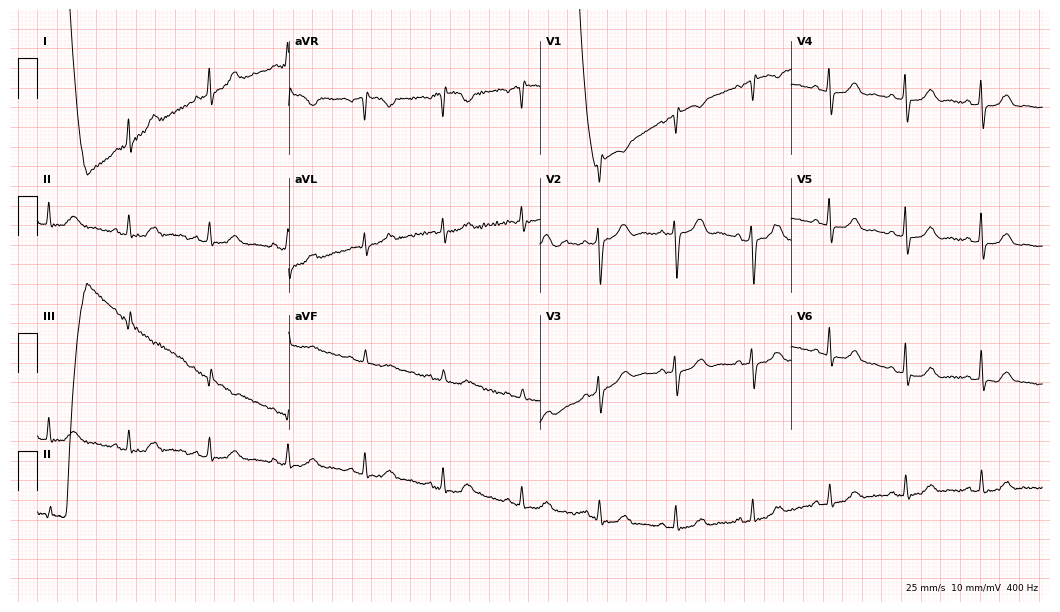
Electrocardiogram, a 63-year-old female. Of the six screened findings (first-degree AV block, right bundle branch block, left bundle branch block, sinus bradycardia, atrial fibrillation, sinus tachycardia), none is recorded. Other findings, if any, are not listed.